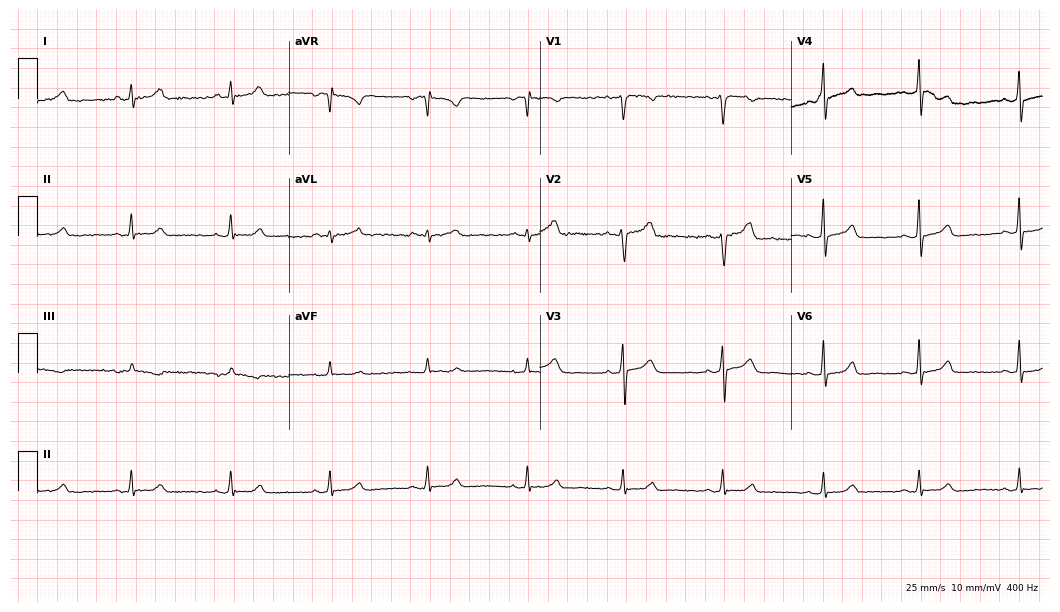
Resting 12-lead electrocardiogram (10.2-second recording at 400 Hz). Patient: a female, 31 years old. Read as a normal ECG.